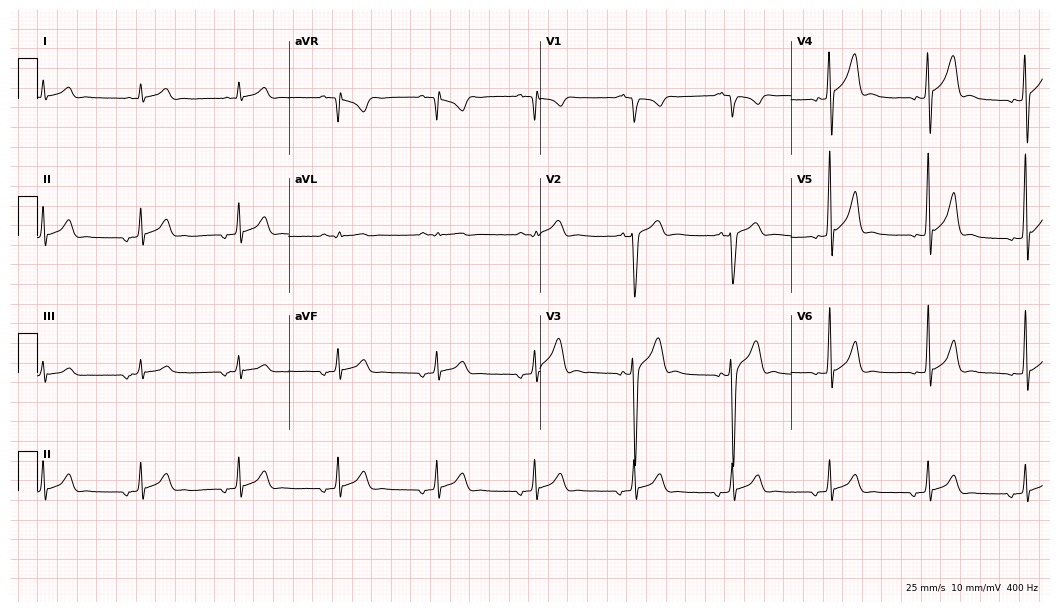
Standard 12-lead ECG recorded from a man, 17 years old (10.2-second recording at 400 Hz). None of these six findings is recorded: first-degree AV block, right bundle branch block (RBBB), left bundle branch block (LBBB), sinus bradycardia, atrial fibrillation (AF), sinus tachycardia.